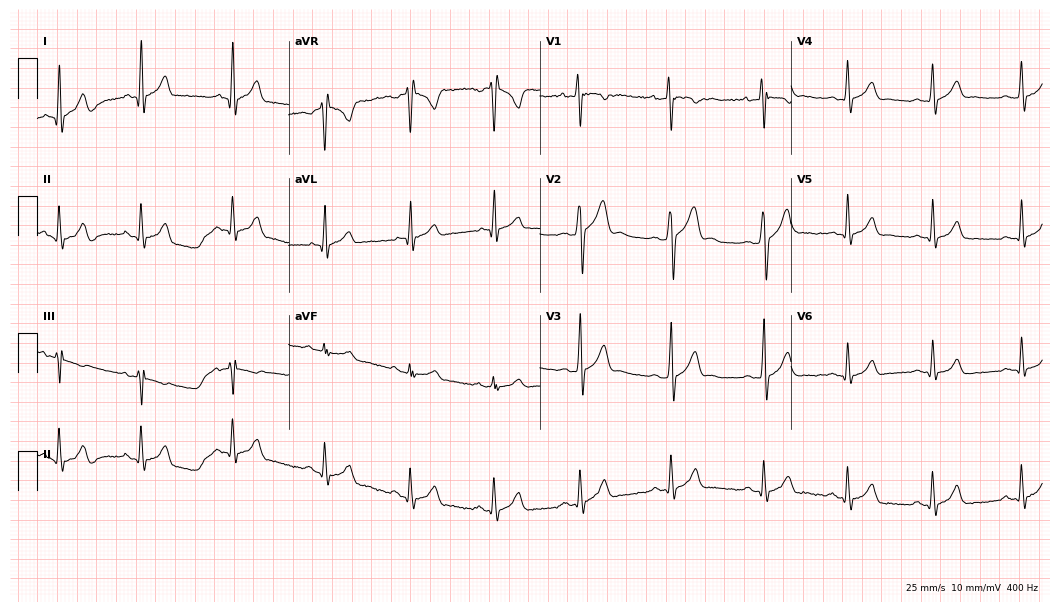
12-lead ECG (10.2-second recording at 400 Hz) from a man, 19 years old. Labelled as a normal ECG.